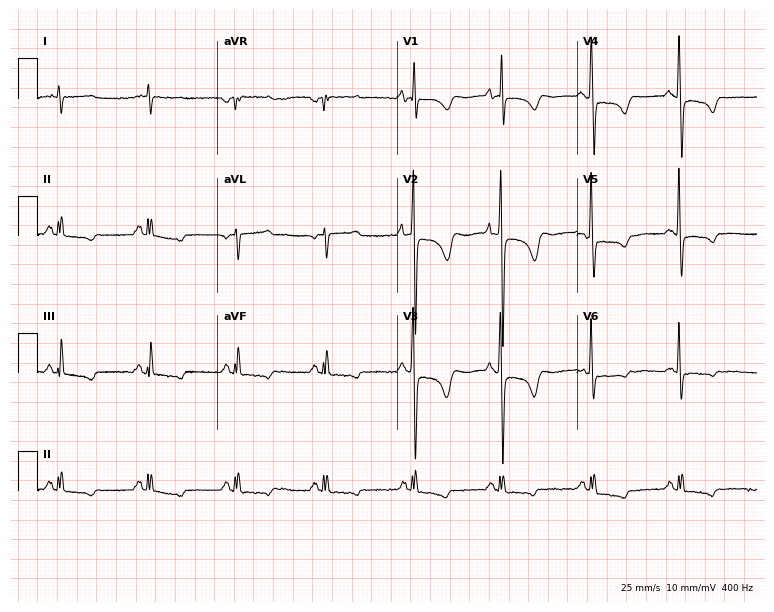
12-lead ECG from a male, 78 years old (7.3-second recording at 400 Hz). No first-degree AV block, right bundle branch block, left bundle branch block, sinus bradycardia, atrial fibrillation or sinus tachycardia recorded for this tracing. Only these six findings were labelled.